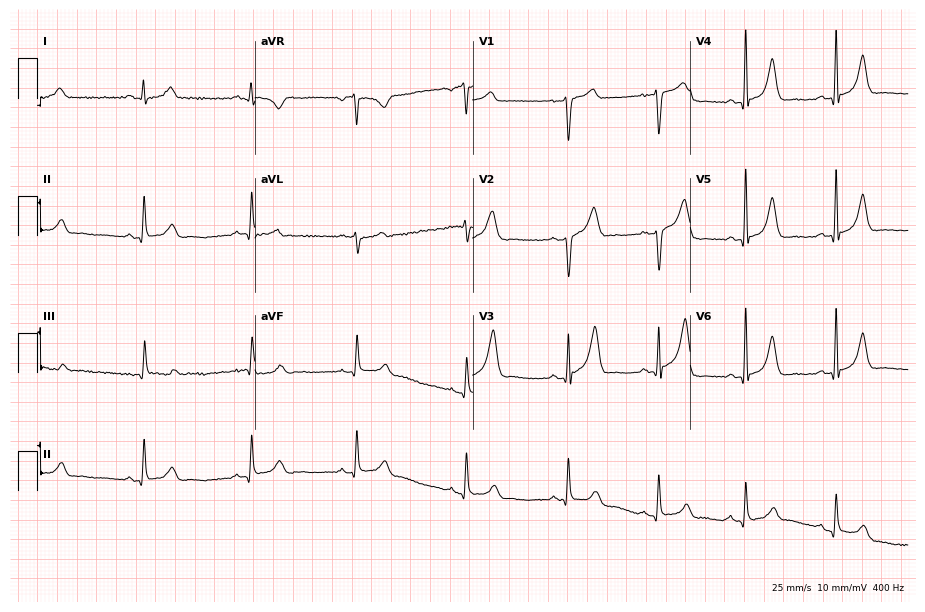
Electrocardiogram, a 29-year-old man. Overall reading on record: normal ECG.